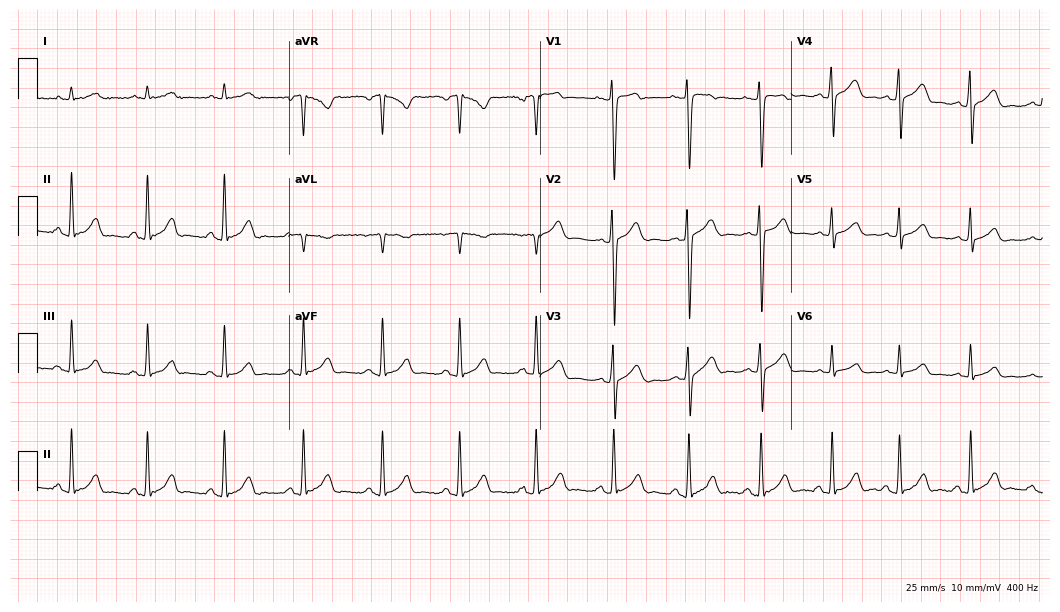
Standard 12-lead ECG recorded from a man, 32 years old. Read as a normal ECG.